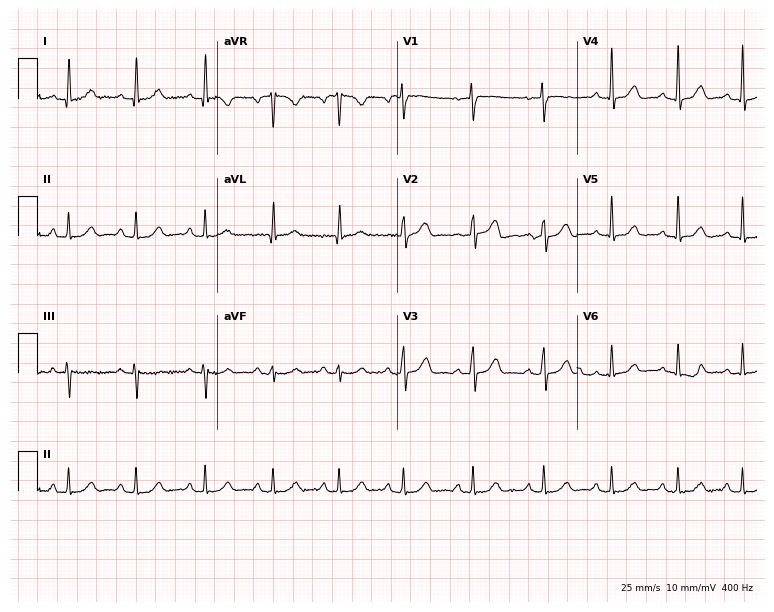
12-lead ECG from a female patient, 53 years old. Labelled as a normal ECG.